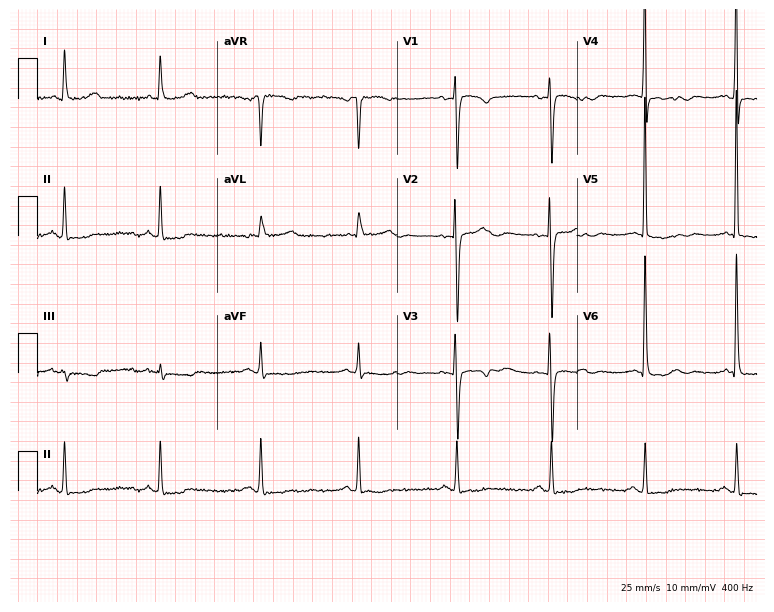
Standard 12-lead ECG recorded from a woman, 64 years old. None of these six findings is recorded: first-degree AV block, right bundle branch block (RBBB), left bundle branch block (LBBB), sinus bradycardia, atrial fibrillation (AF), sinus tachycardia.